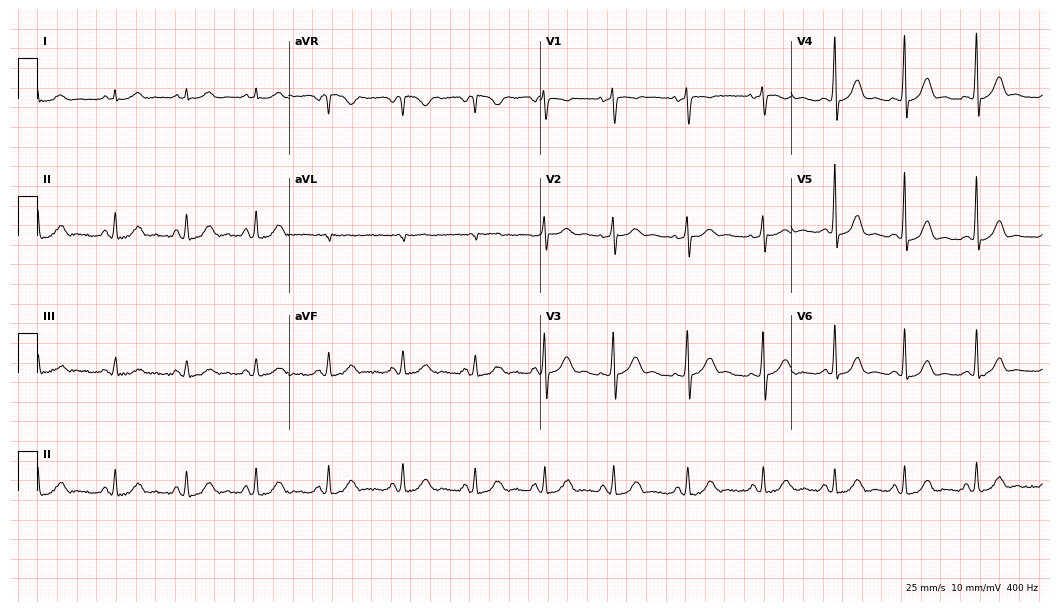
Standard 12-lead ECG recorded from a female patient, 80 years old (10.2-second recording at 400 Hz). Read as a normal ECG.